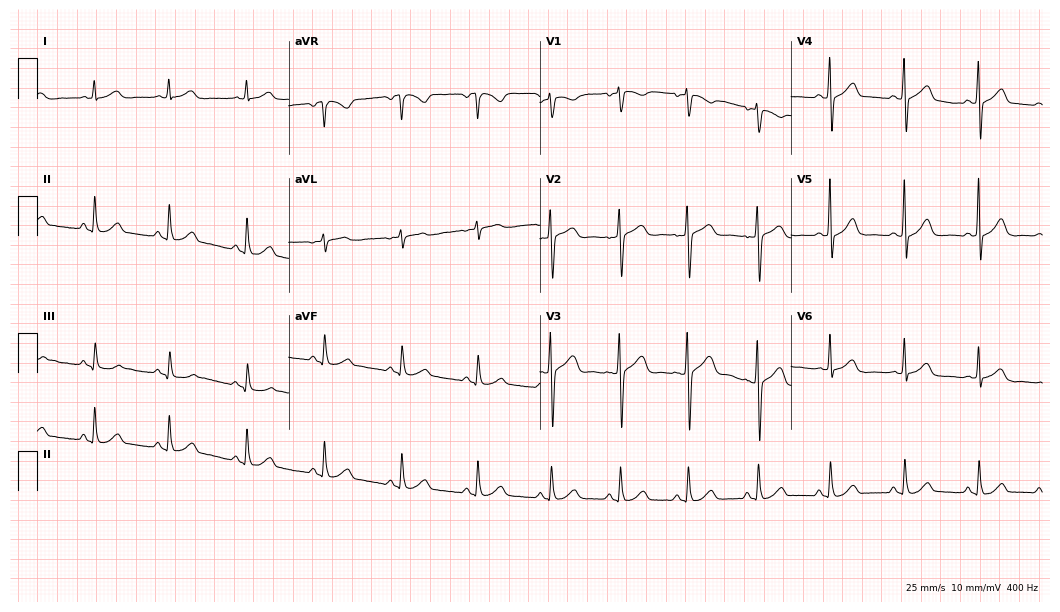
Resting 12-lead electrocardiogram (10.2-second recording at 400 Hz). Patient: a 38-year-old female. Read as a normal ECG.